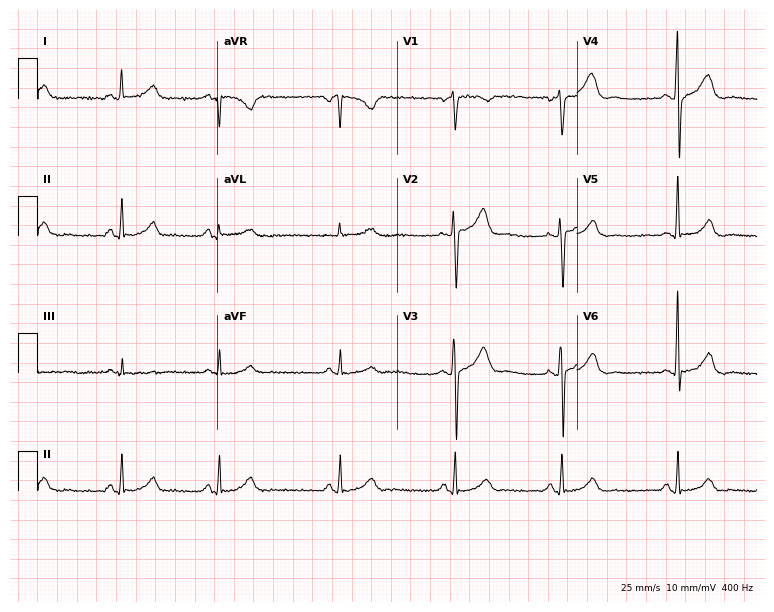
ECG (7.3-second recording at 400 Hz) — a male patient, 66 years old. Labelled as a normal ECG.